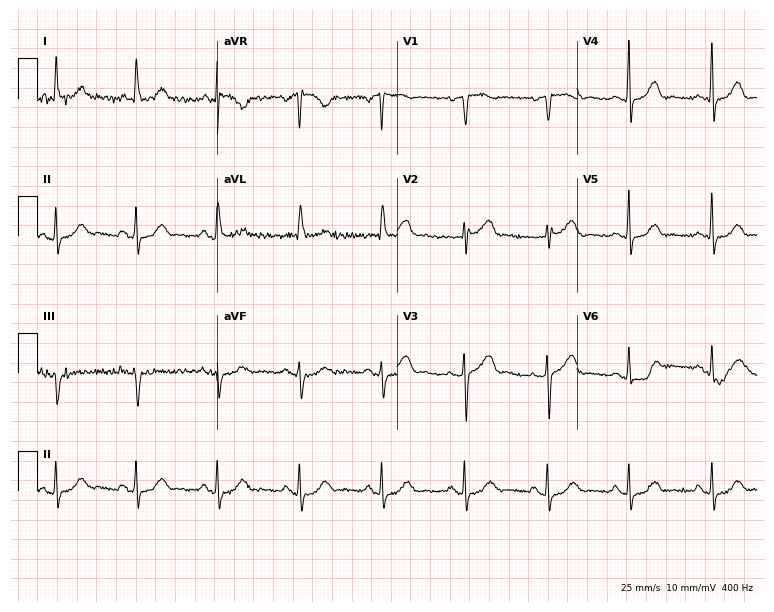
ECG (7.3-second recording at 400 Hz) — a 61-year-old female. Labelled as a normal ECG.